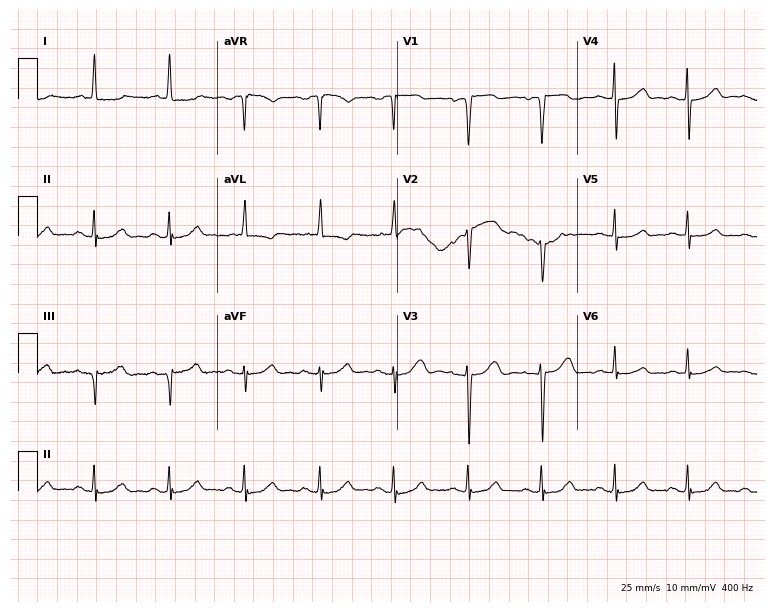
Resting 12-lead electrocardiogram. Patient: a woman, 58 years old. Read as a normal ECG.